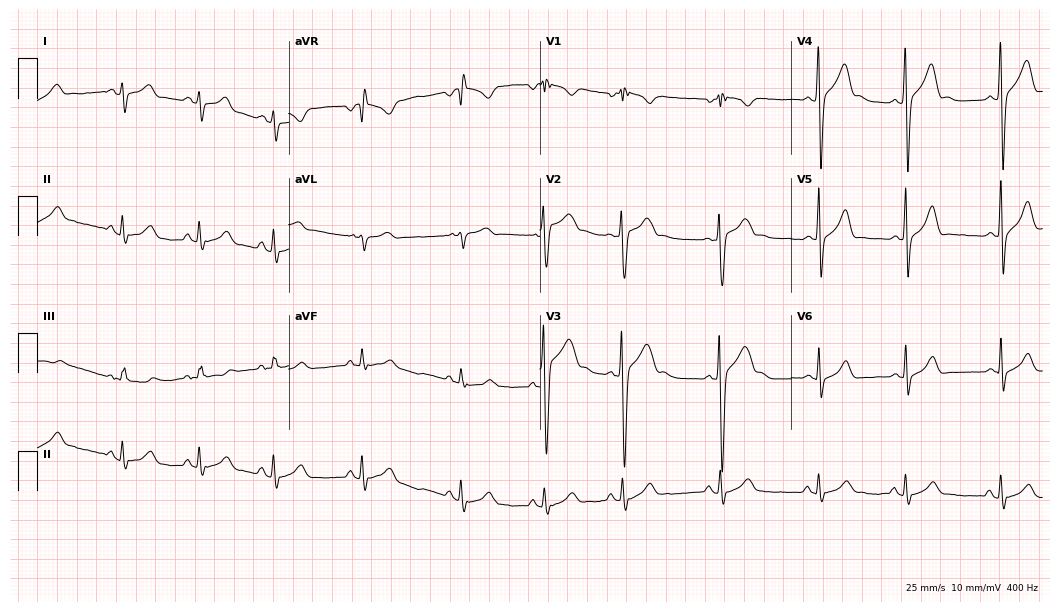
12-lead ECG (10.2-second recording at 400 Hz) from an 18-year-old male. Labelled as a normal ECG.